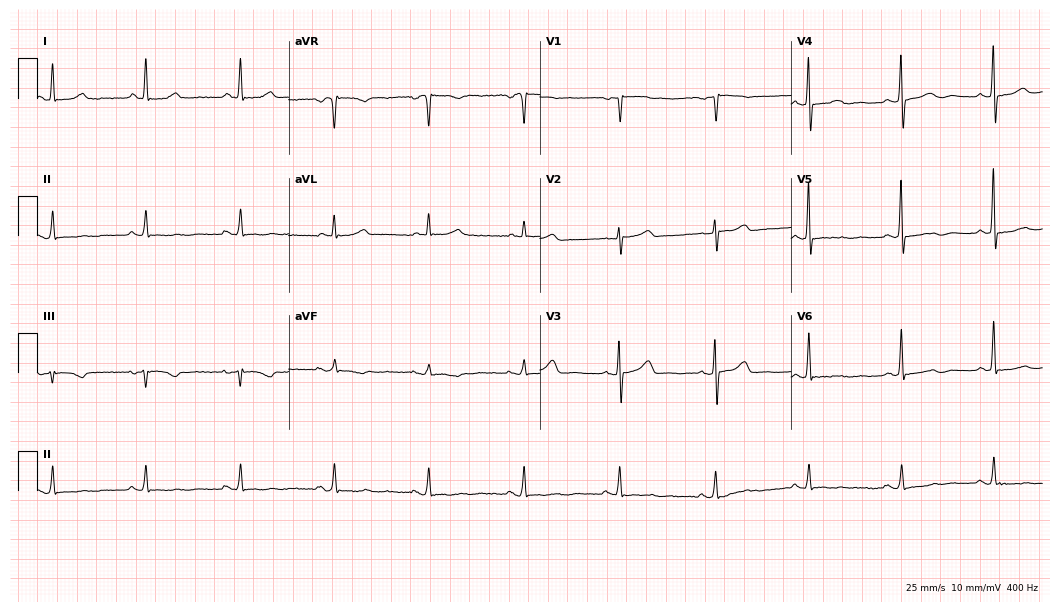
ECG — a woman, 69 years old. Screened for six findings — first-degree AV block, right bundle branch block, left bundle branch block, sinus bradycardia, atrial fibrillation, sinus tachycardia — none is recorded.